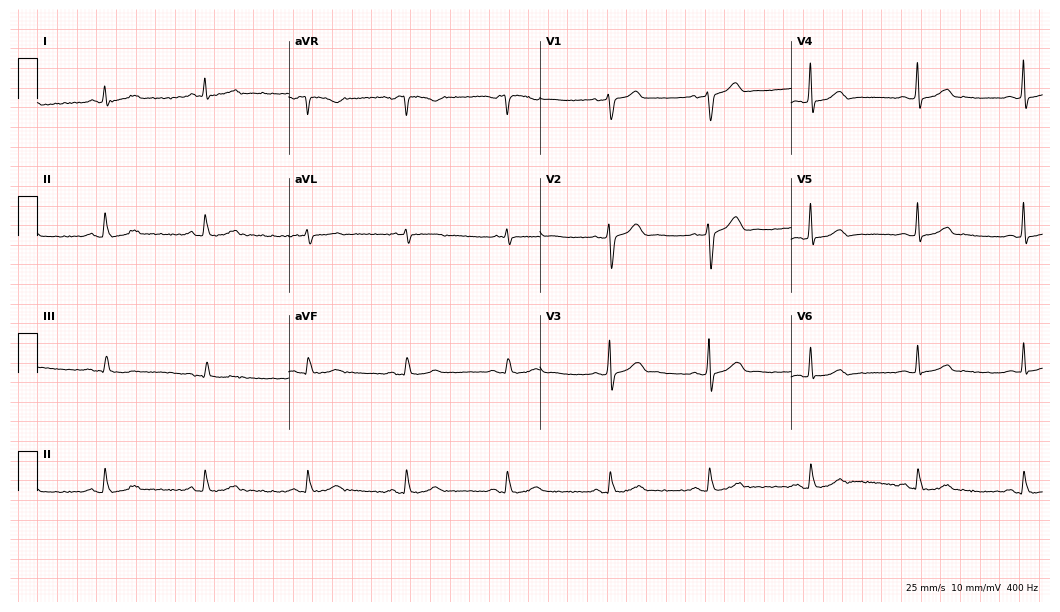
Resting 12-lead electrocardiogram (10.2-second recording at 400 Hz). Patient: a 62-year-old man. Read as a normal ECG.